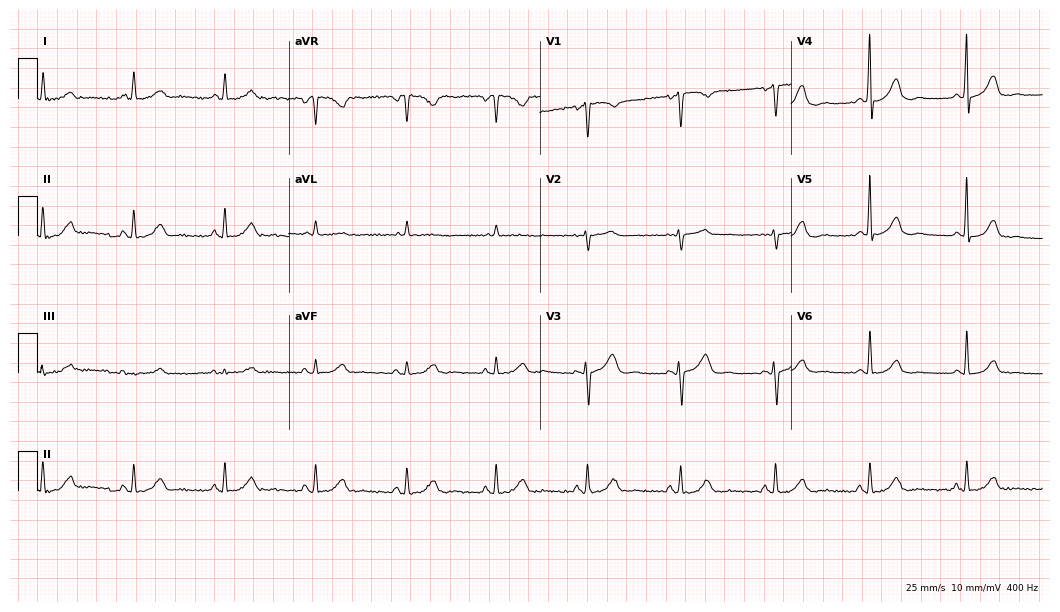
12-lead ECG from a female, 55 years old (10.2-second recording at 400 Hz). Recorded interpretation: within normal limits.